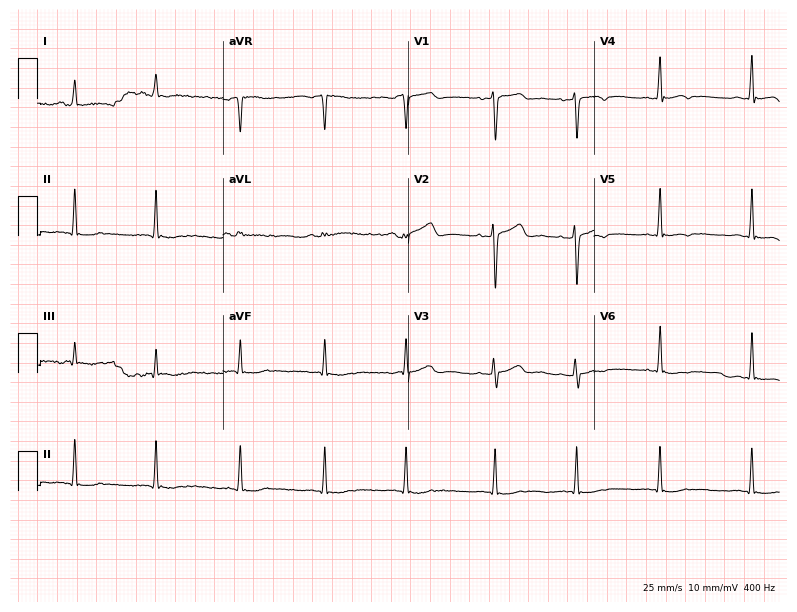
Standard 12-lead ECG recorded from a female, 28 years old (7.6-second recording at 400 Hz). None of these six findings is recorded: first-degree AV block, right bundle branch block (RBBB), left bundle branch block (LBBB), sinus bradycardia, atrial fibrillation (AF), sinus tachycardia.